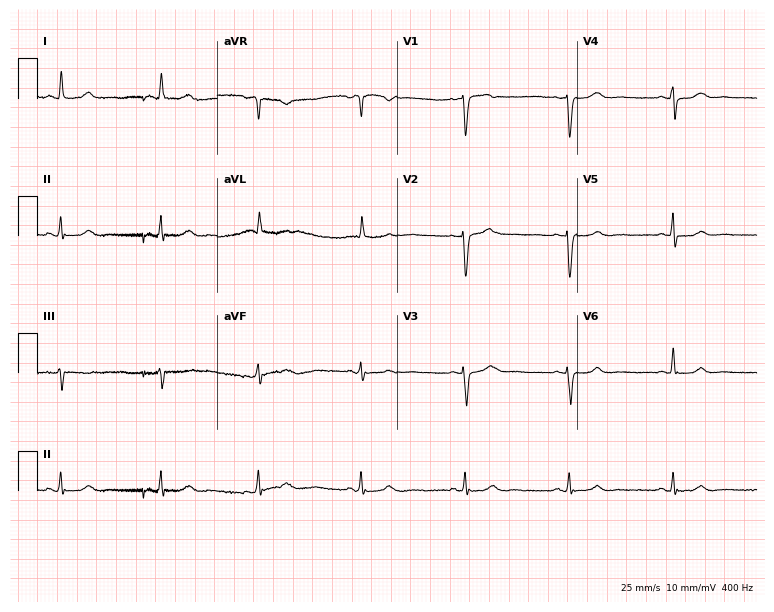
Electrocardiogram (7.3-second recording at 400 Hz), a woman, 62 years old. Of the six screened findings (first-degree AV block, right bundle branch block, left bundle branch block, sinus bradycardia, atrial fibrillation, sinus tachycardia), none is recorded.